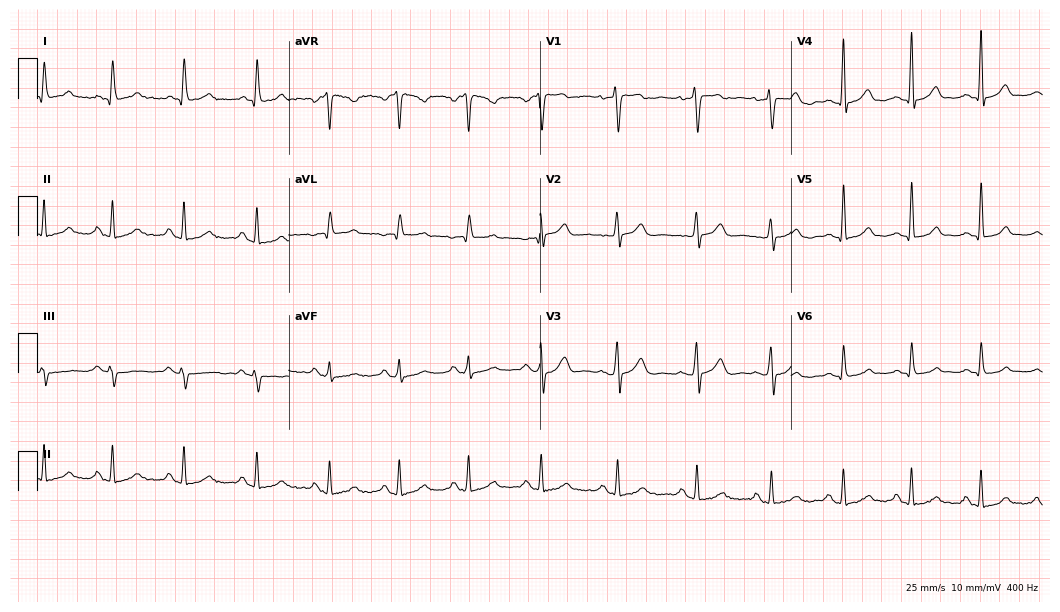
ECG (10.2-second recording at 400 Hz) — a 43-year-old female patient. Screened for six findings — first-degree AV block, right bundle branch block, left bundle branch block, sinus bradycardia, atrial fibrillation, sinus tachycardia — none is recorded.